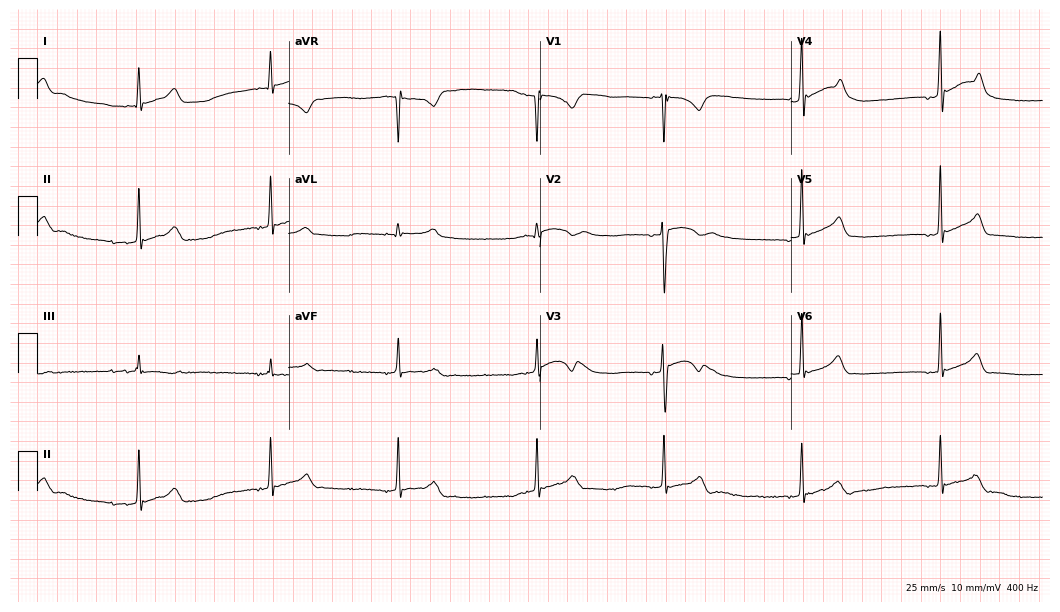
12-lead ECG (10.2-second recording at 400 Hz) from a 17-year-old male. Screened for six findings — first-degree AV block, right bundle branch block, left bundle branch block, sinus bradycardia, atrial fibrillation, sinus tachycardia — none is recorded.